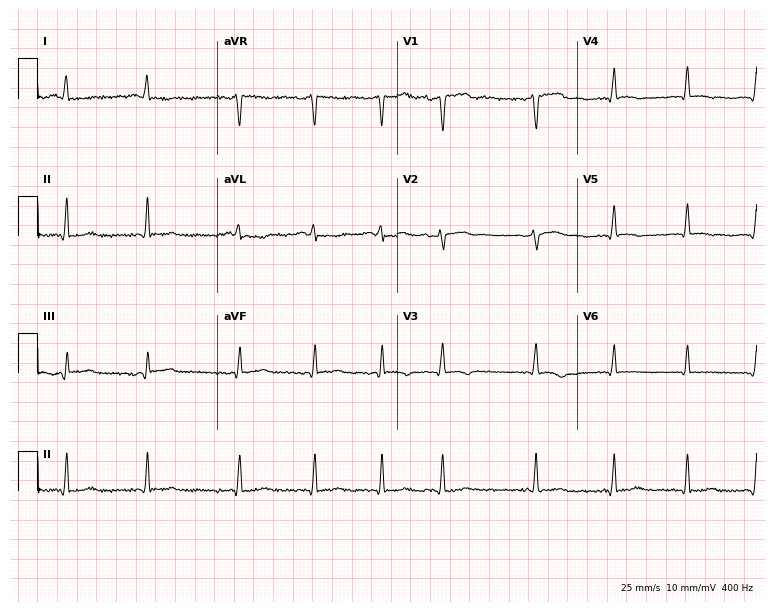
12-lead ECG (7.3-second recording at 400 Hz) from a 67-year-old female. Screened for six findings — first-degree AV block, right bundle branch block (RBBB), left bundle branch block (LBBB), sinus bradycardia, atrial fibrillation (AF), sinus tachycardia — none is recorded.